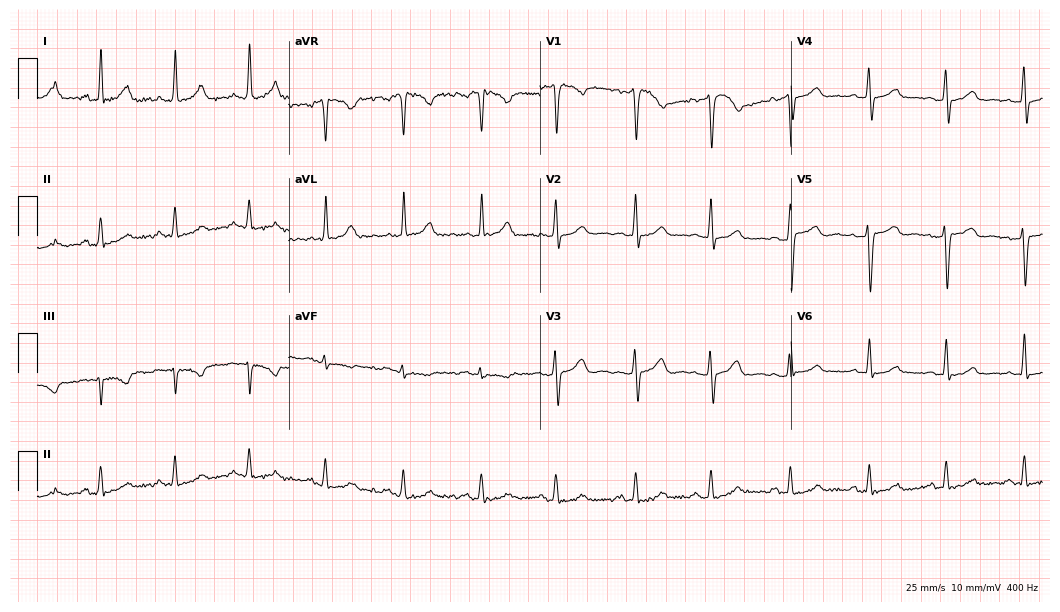
ECG — a female patient, 49 years old. Screened for six findings — first-degree AV block, right bundle branch block, left bundle branch block, sinus bradycardia, atrial fibrillation, sinus tachycardia — none is recorded.